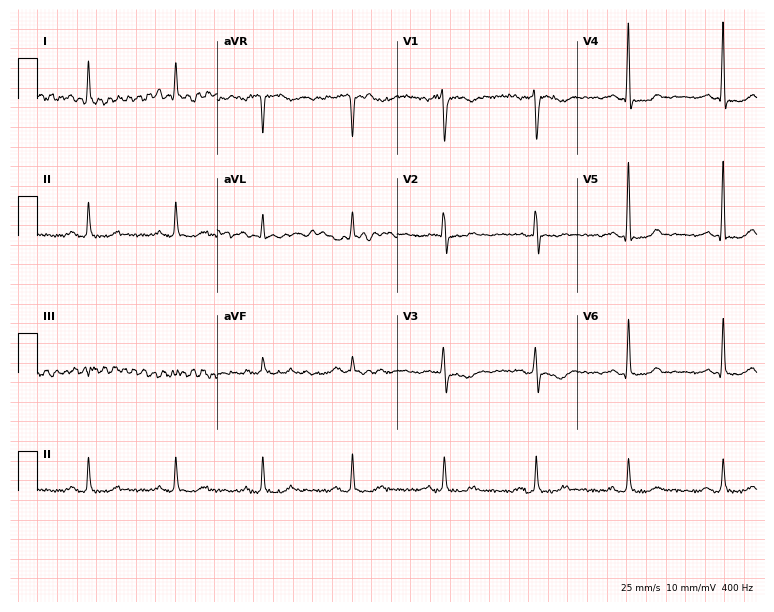
ECG (7.3-second recording at 400 Hz) — a woman, 63 years old. Screened for six findings — first-degree AV block, right bundle branch block, left bundle branch block, sinus bradycardia, atrial fibrillation, sinus tachycardia — none is recorded. Other findings, if any, are not listed.